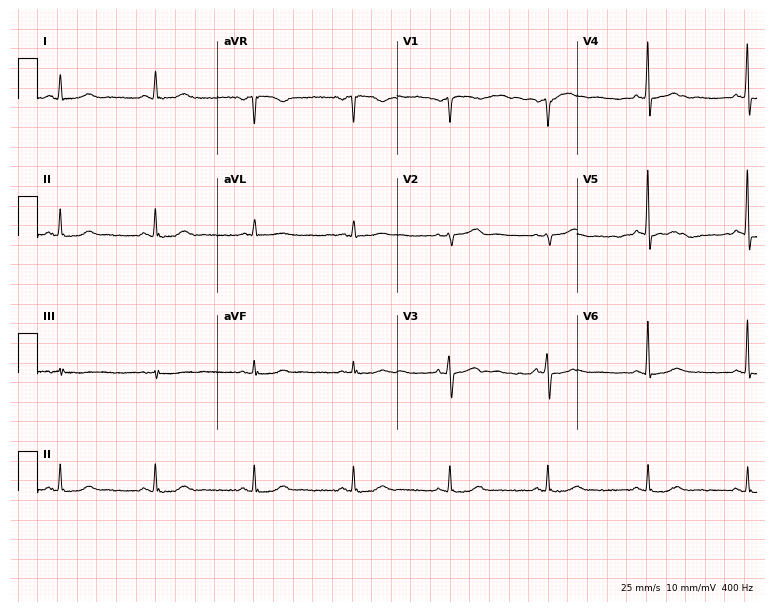
Electrocardiogram (7.3-second recording at 400 Hz), a female patient, 72 years old. Of the six screened findings (first-degree AV block, right bundle branch block, left bundle branch block, sinus bradycardia, atrial fibrillation, sinus tachycardia), none is recorded. Other findings, if any, are not listed.